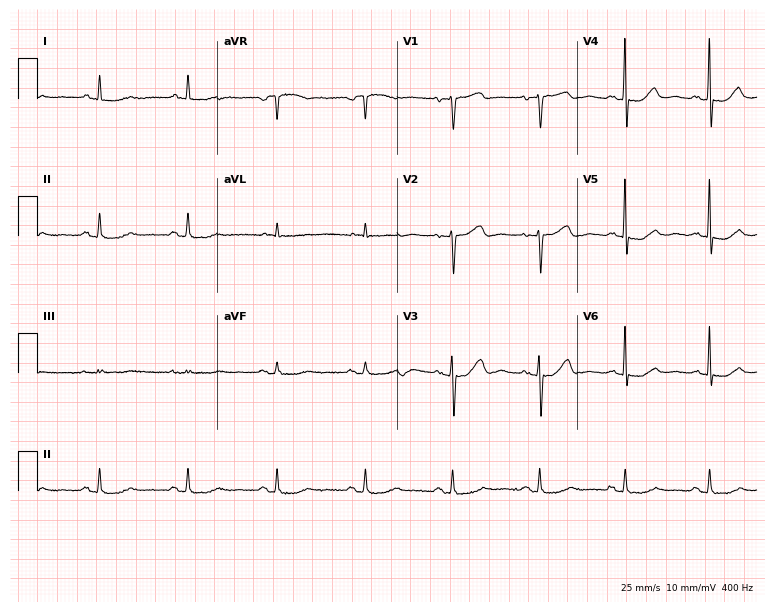
Resting 12-lead electrocardiogram (7.3-second recording at 400 Hz). Patient: a 76-year-old female. None of these six findings is recorded: first-degree AV block, right bundle branch block, left bundle branch block, sinus bradycardia, atrial fibrillation, sinus tachycardia.